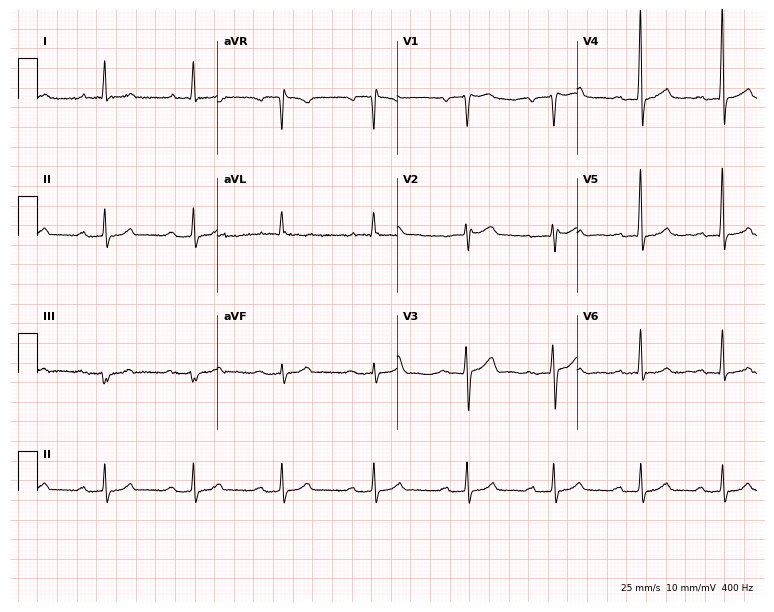
Standard 12-lead ECG recorded from a man, 58 years old (7.3-second recording at 400 Hz). The tracing shows first-degree AV block.